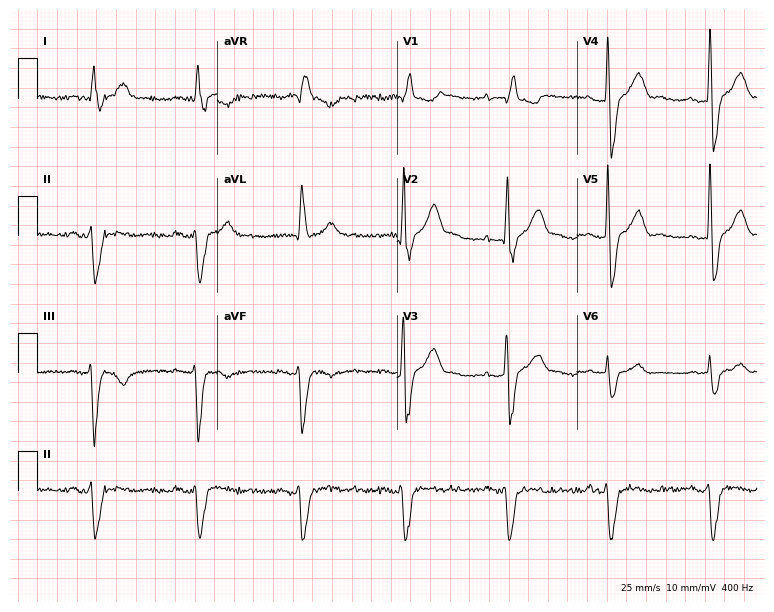
Resting 12-lead electrocardiogram. Patient: a 69-year-old man. The tracing shows right bundle branch block.